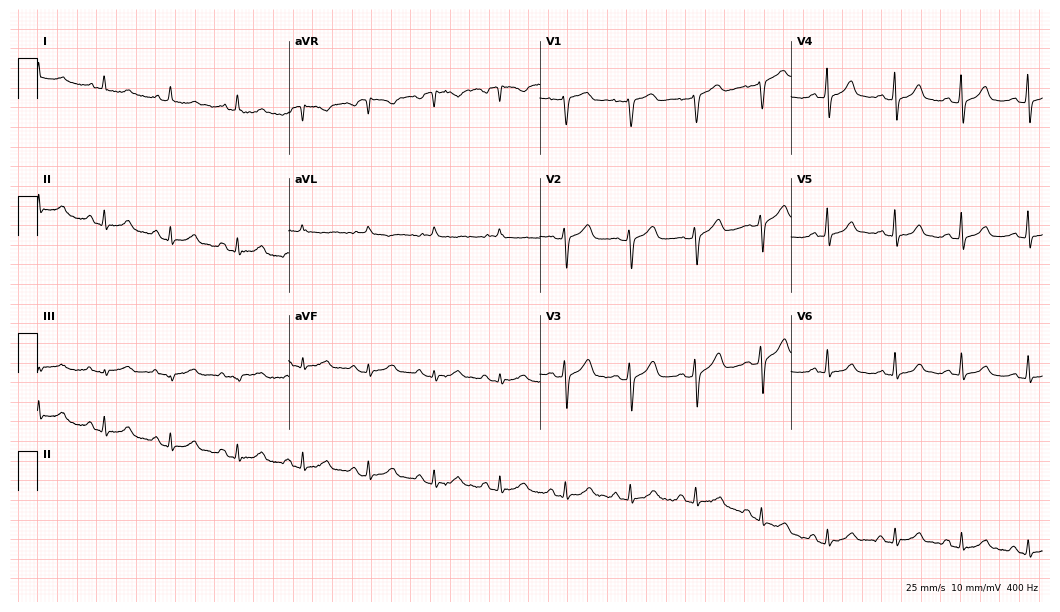
12-lead ECG (10.2-second recording at 400 Hz) from a 52-year-old female patient. Labelled as a normal ECG.